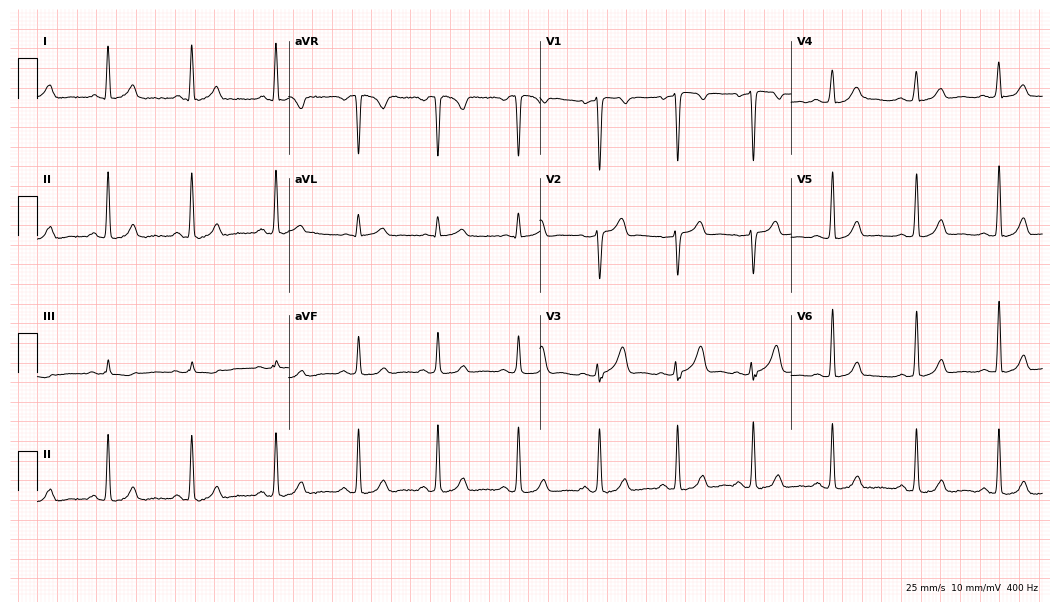
12-lead ECG from a woman, 29 years old. Labelled as a normal ECG.